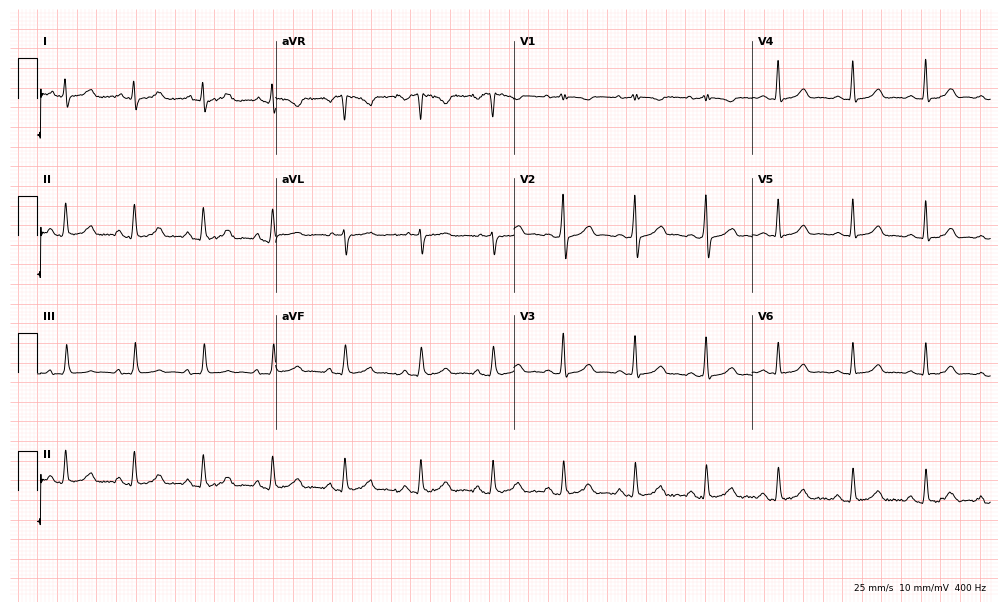
ECG (9.7-second recording at 400 Hz) — a female, 26 years old. Labelled as a normal ECG.